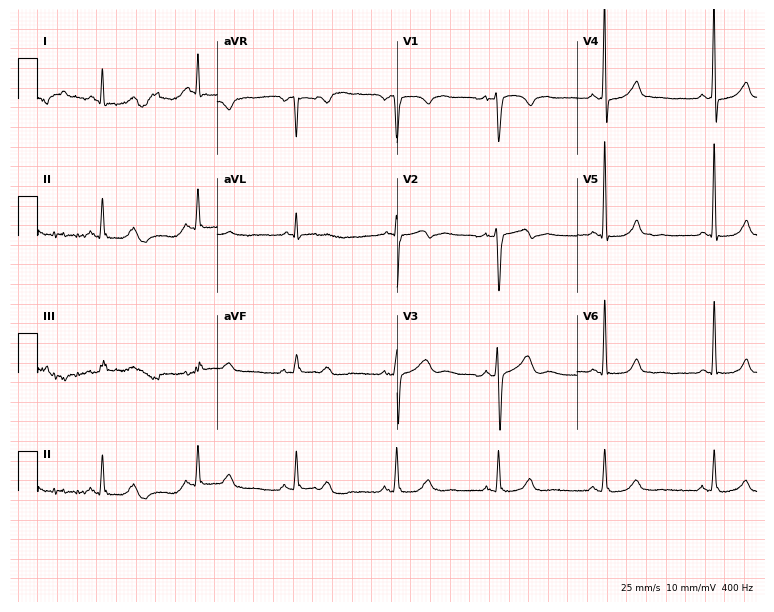
Standard 12-lead ECG recorded from a 44-year-old male. None of these six findings is recorded: first-degree AV block, right bundle branch block, left bundle branch block, sinus bradycardia, atrial fibrillation, sinus tachycardia.